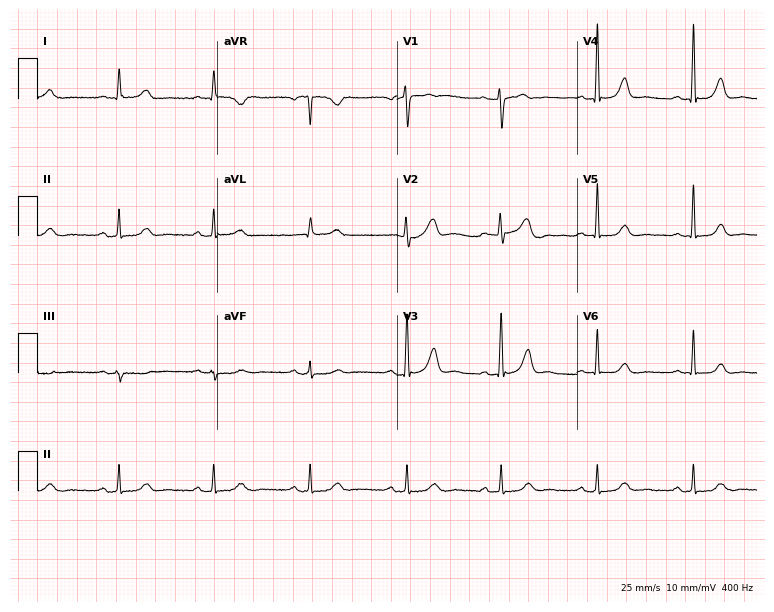
Resting 12-lead electrocardiogram (7.3-second recording at 400 Hz). Patient: a 60-year-old woman. Read as a normal ECG.